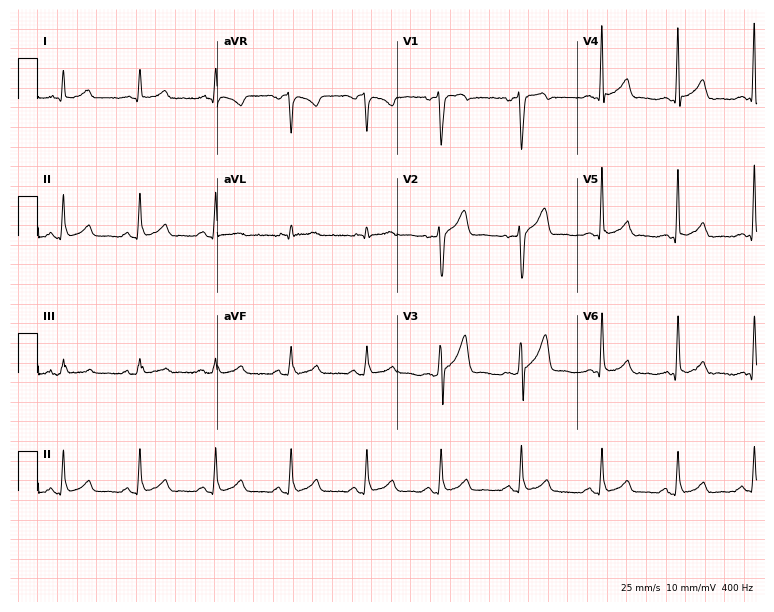
Standard 12-lead ECG recorded from a 38-year-old man (7.3-second recording at 400 Hz). Read as a normal ECG.